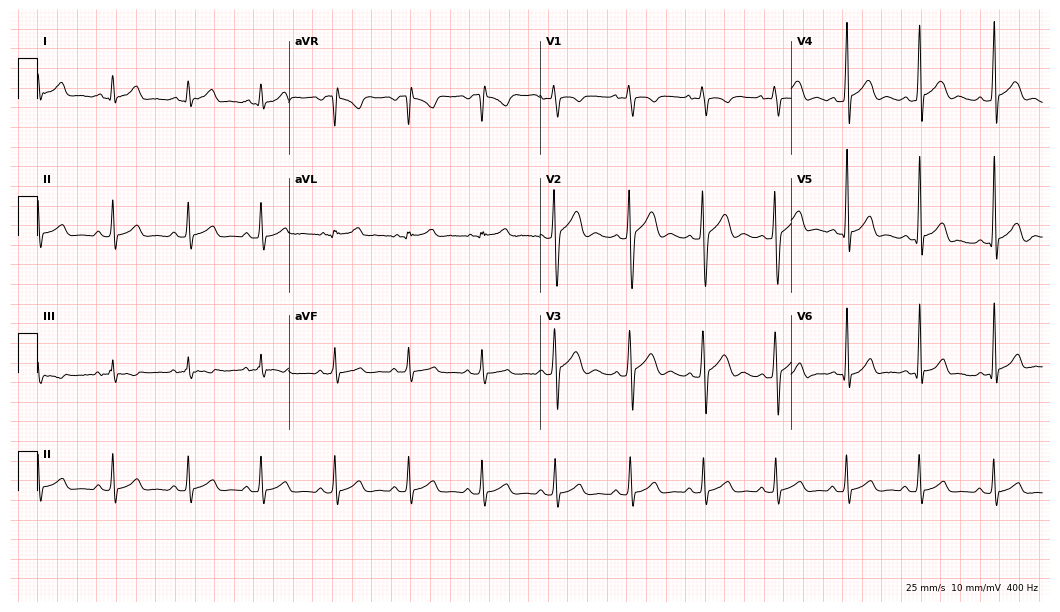
ECG — a male patient, 18 years old. Screened for six findings — first-degree AV block, right bundle branch block, left bundle branch block, sinus bradycardia, atrial fibrillation, sinus tachycardia — none is recorded.